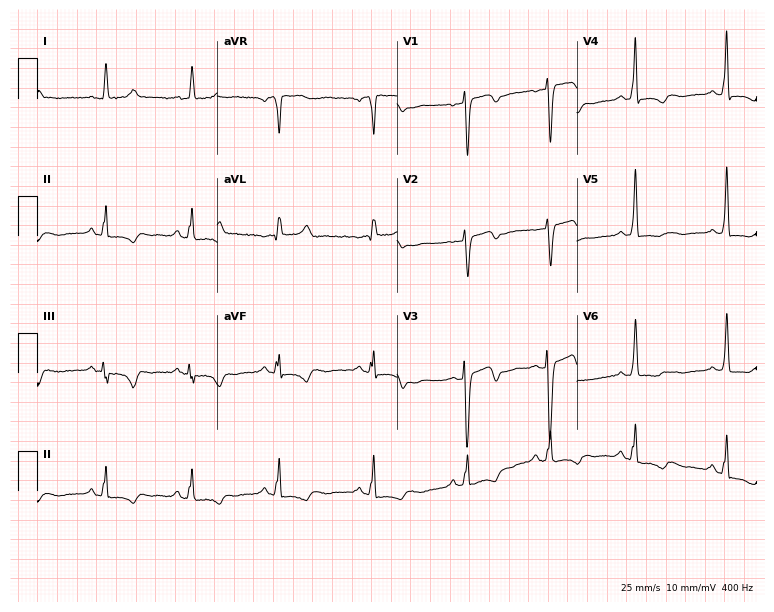
Resting 12-lead electrocardiogram (7.3-second recording at 400 Hz). Patient: a 70-year-old woman. None of these six findings is recorded: first-degree AV block, right bundle branch block, left bundle branch block, sinus bradycardia, atrial fibrillation, sinus tachycardia. Other findings, if any, are not listed.